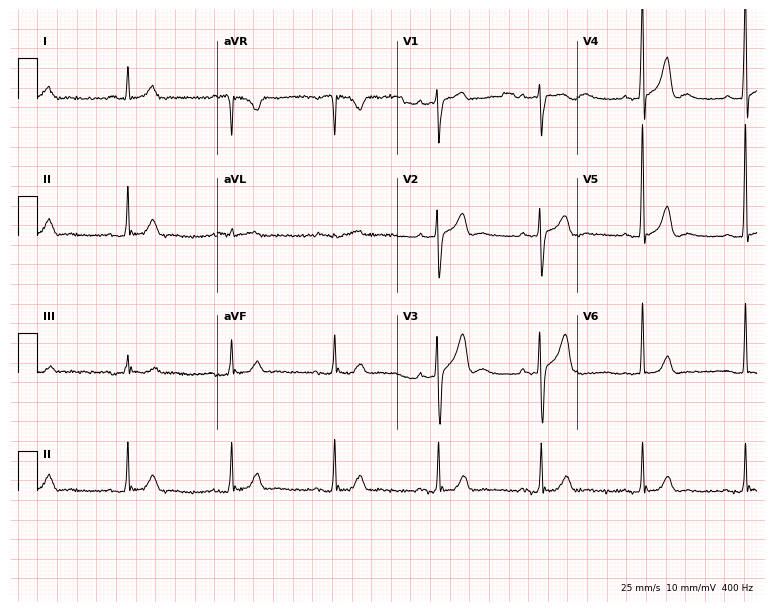
Standard 12-lead ECG recorded from a woman, 67 years old (7.3-second recording at 400 Hz). Read as a normal ECG.